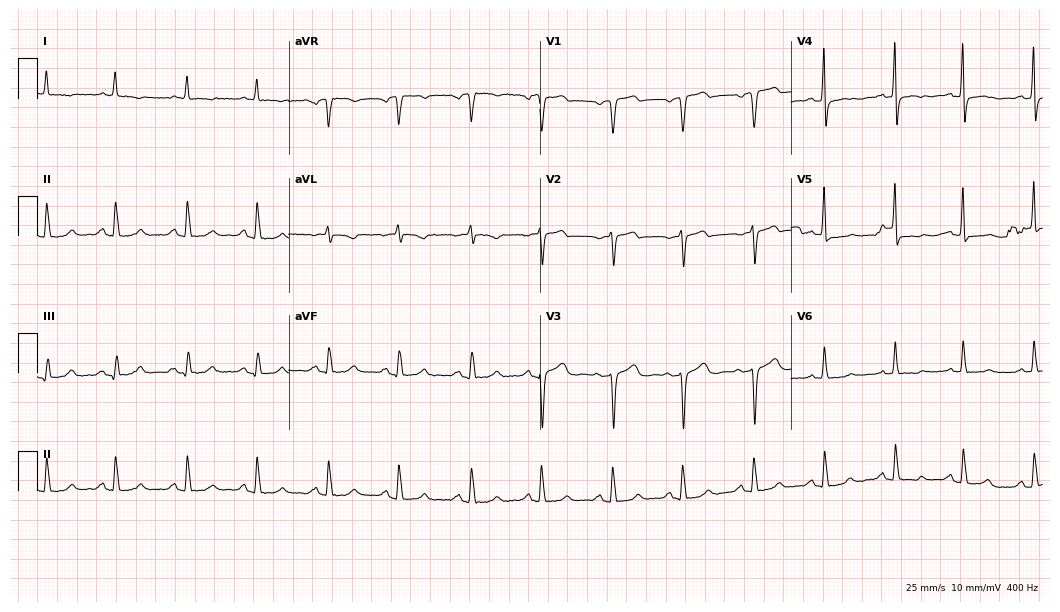
12-lead ECG from a male patient, 80 years old (10.2-second recording at 400 Hz). No first-degree AV block, right bundle branch block (RBBB), left bundle branch block (LBBB), sinus bradycardia, atrial fibrillation (AF) or sinus tachycardia recorded for this tracing.